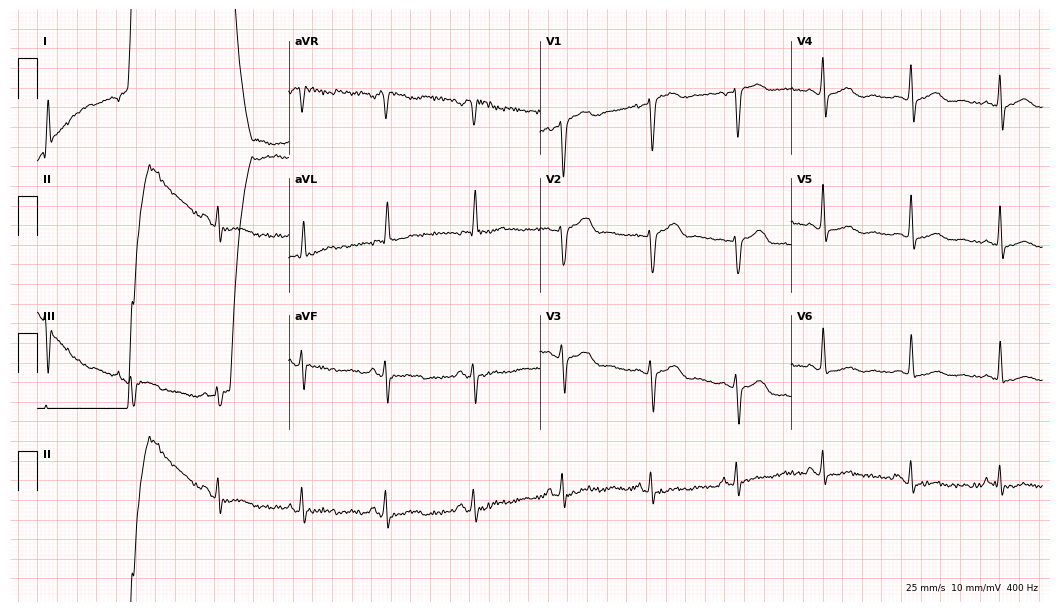
Standard 12-lead ECG recorded from a female patient, 71 years old. None of these six findings is recorded: first-degree AV block, right bundle branch block, left bundle branch block, sinus bradycardia, atrial fibrillation, sinus tachycardia.